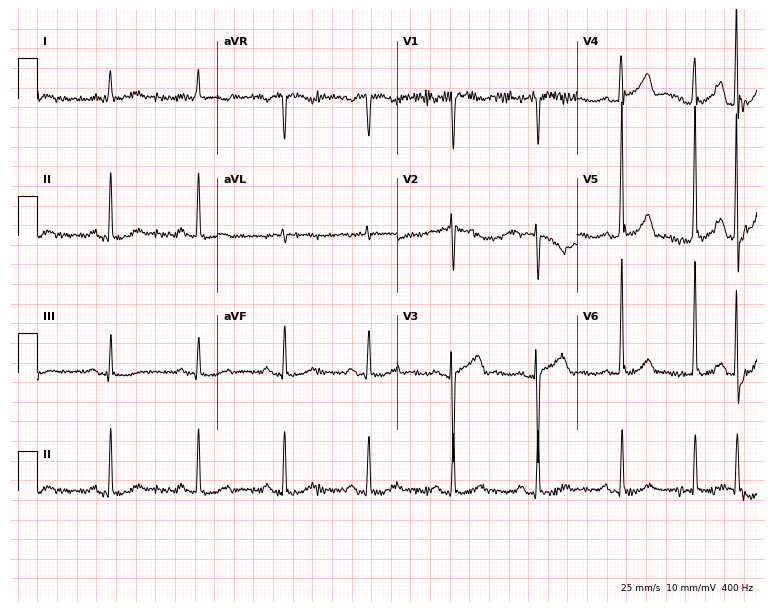
ECG — an 80-year-old male. Screened for six findings — first-degree AV block, right bundle branch block, left bundle branch block, sinus bradycardia, atrial fibrillation, sinus tachycardia — none is recorded.